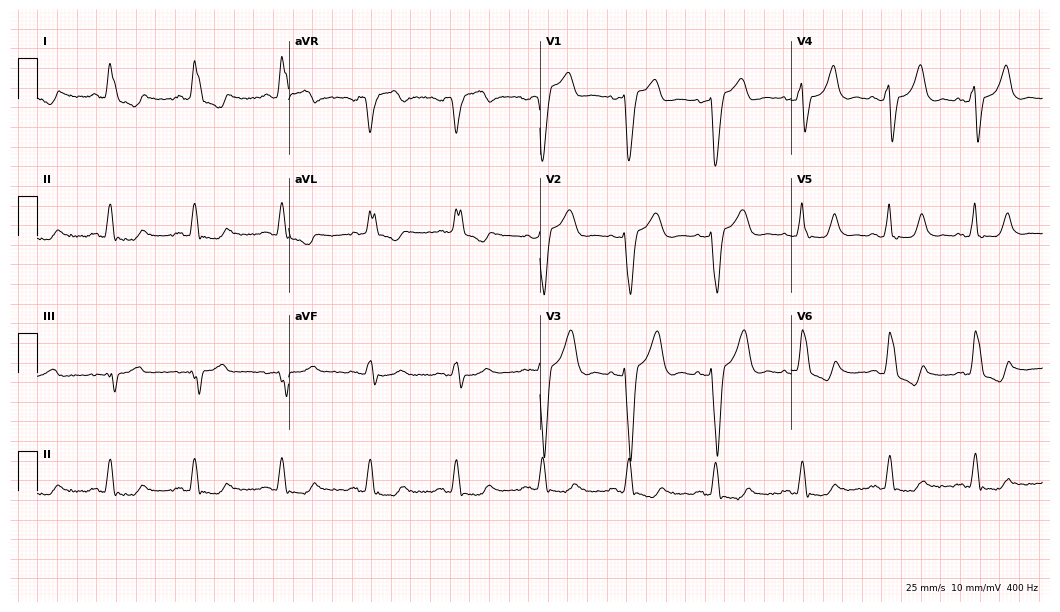
Resting 12-lead electrocardiogram. Patient: a woman, 78 years old. The tracing shows left bundle branch block.